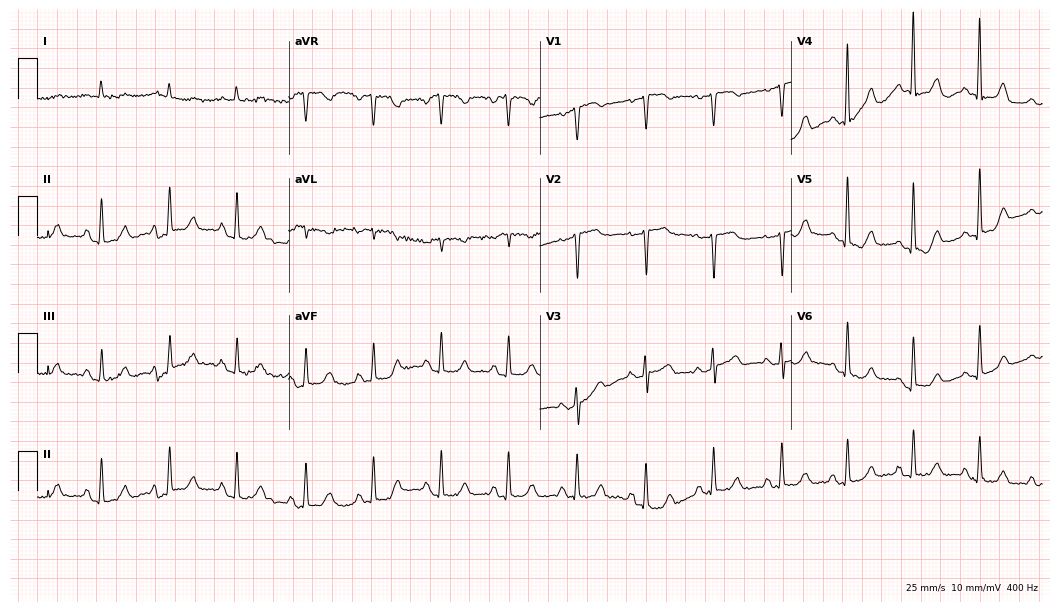
Standard 12-lead ECG recorded from a 72-year-old female (10.2-second recording at 400 Hz). Read as a normal ECG.